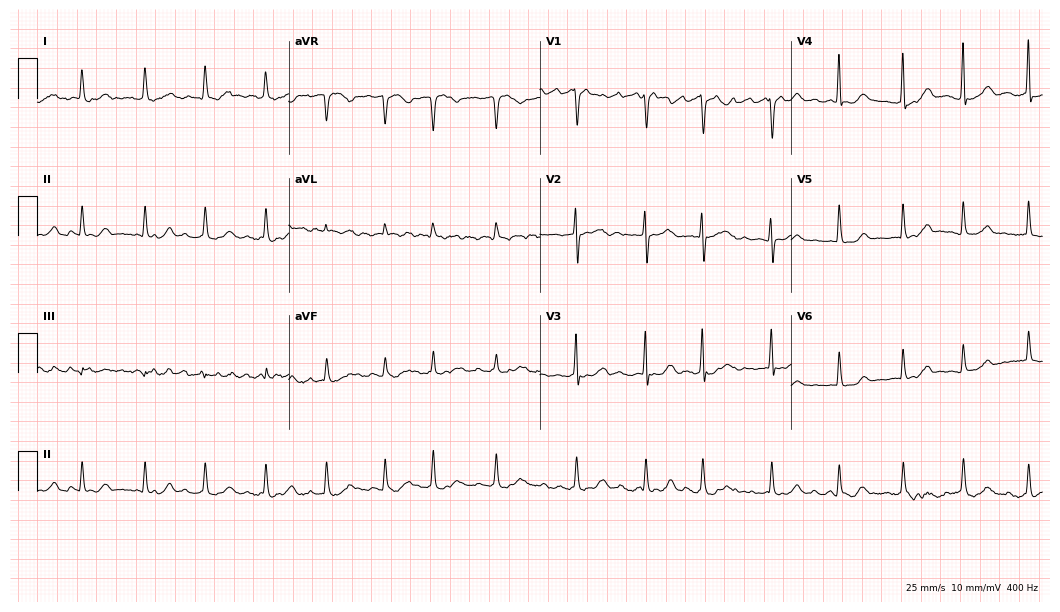
12-lead ECG from an 80-year-old woman. Findings include atrial fibrillation.